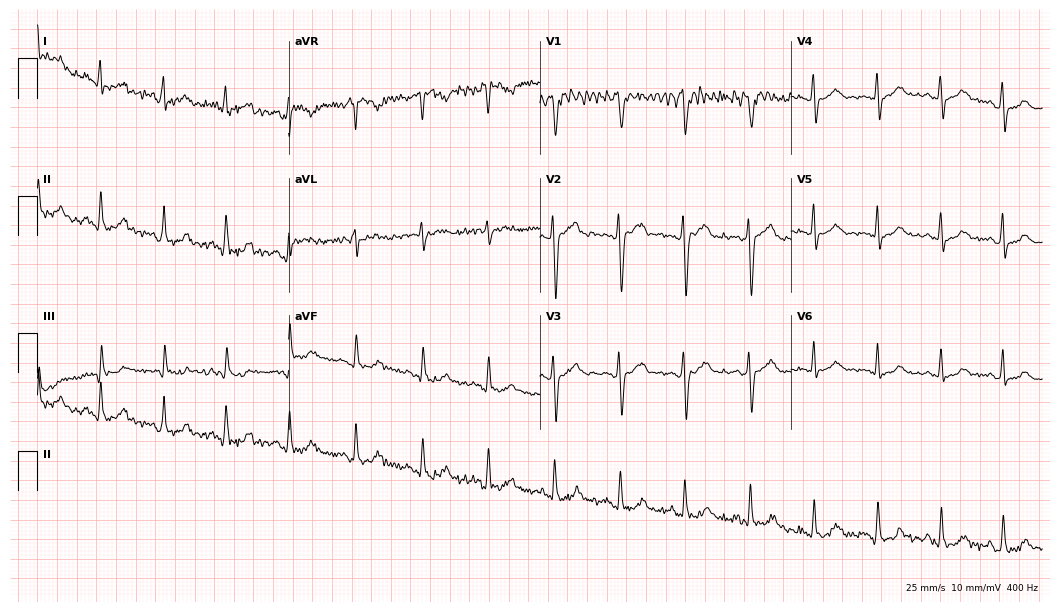
ECG (10.2-second recording at 400 Hz) — a female patient, 27 years old. Screened for six findings — first-degree AV block, right bundle branch block (RBBB), left bundle branch block (LBBB), sinus bradycardia, atrial fibrillation (AF), sinus tachycardia — none is recorded. Other findings, if any, are not listed.